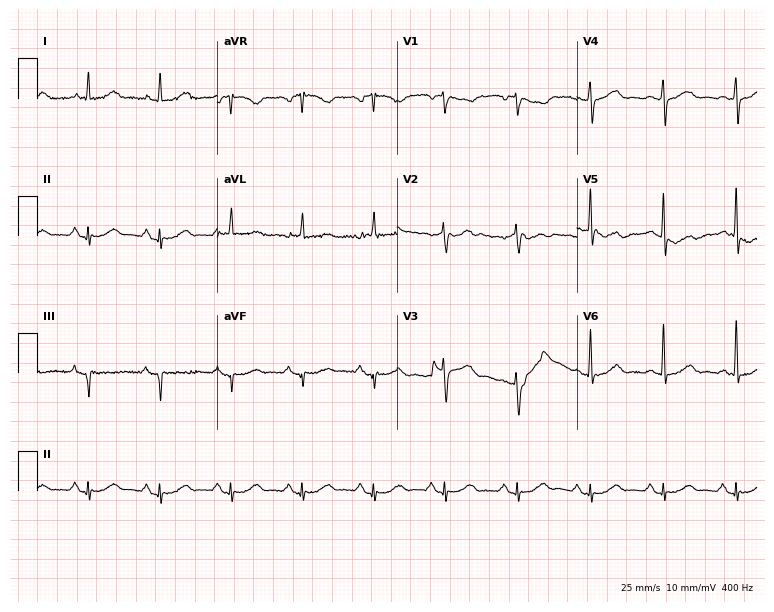
Standard 12-lead ECG recorded from a male, 70 years old (7.3-second recording at 400 Hz). Read as a normal ECG.